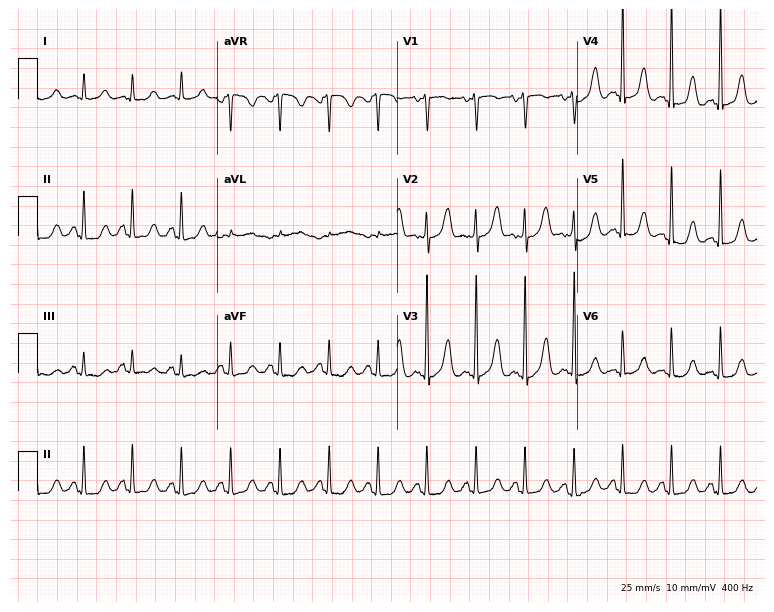
Resting 12-lead electrocardiogram. Patient: a female, 56 years old. The tracing shows sinus tachycardia (a sinus rate of 100 beats per minute or more).